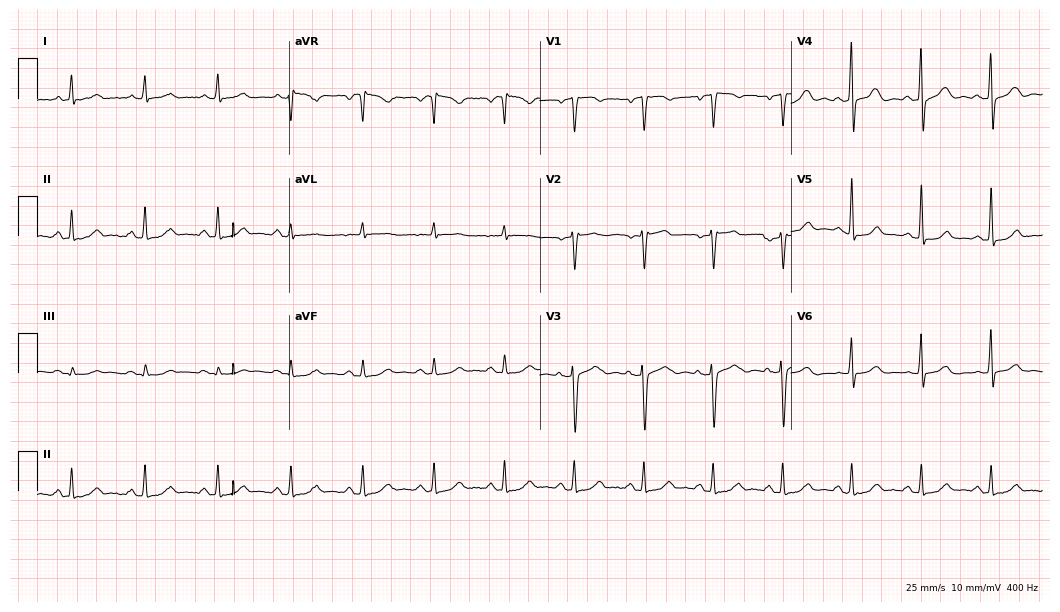
12-lead ECG from a woman, 61 years old. Recorded interpretation: within normal limits.